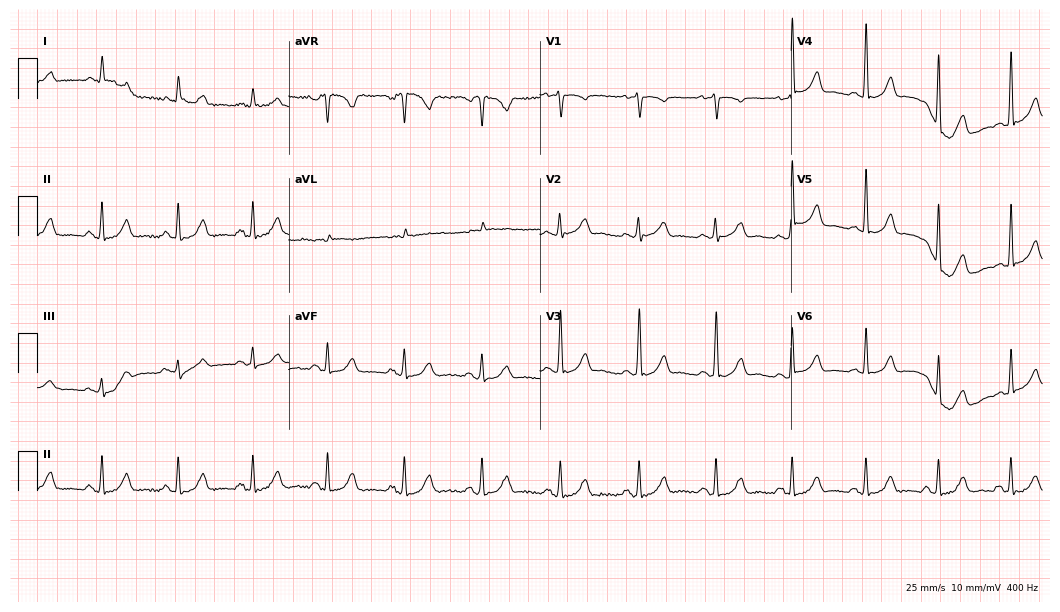
ECG — a male patient, 53 years old. Screened for six findings — first-degree AV block, right bundle branch block (RBBB), left bundle branch block (LBBB), sinus bradycardia, atrial fibrillation (AF), sinus tachycardia — none is recorded.